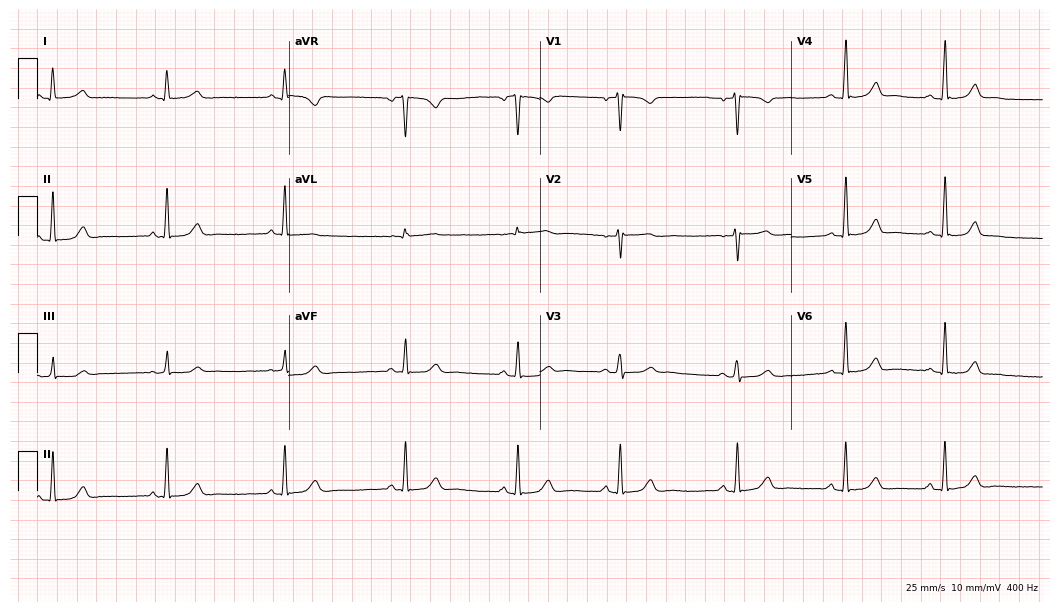
Resting 12-lead electrocardiogram (10.2-second recording at 400 Hz). Patient: a female, 27 years old. Read as a normal ECG.